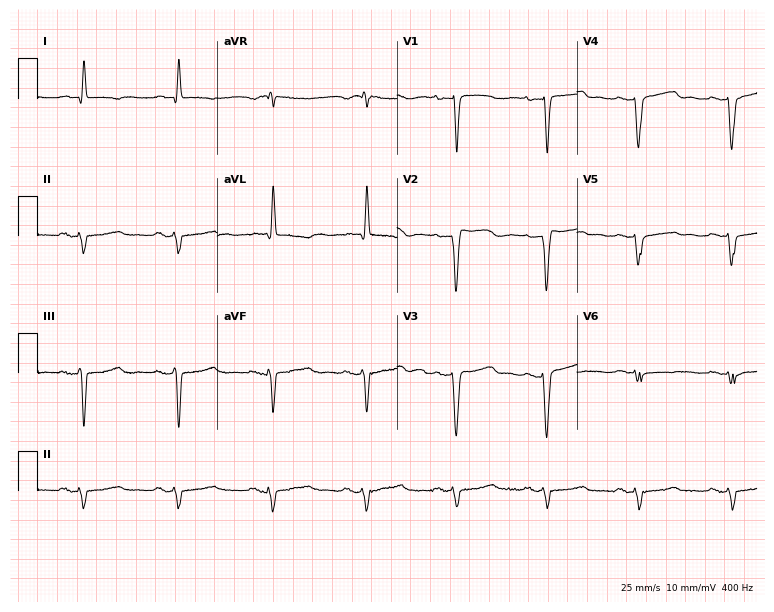
Standard 12-lead ECG recorded from a 62-year-old woman (7.3-second recording at 400 Hz). None of these six findings is recorded: first-degree AV block, right bundle branch block, left bundle branch block, sinus bradycardia, atrial fibrillation, sinus tachycardia.